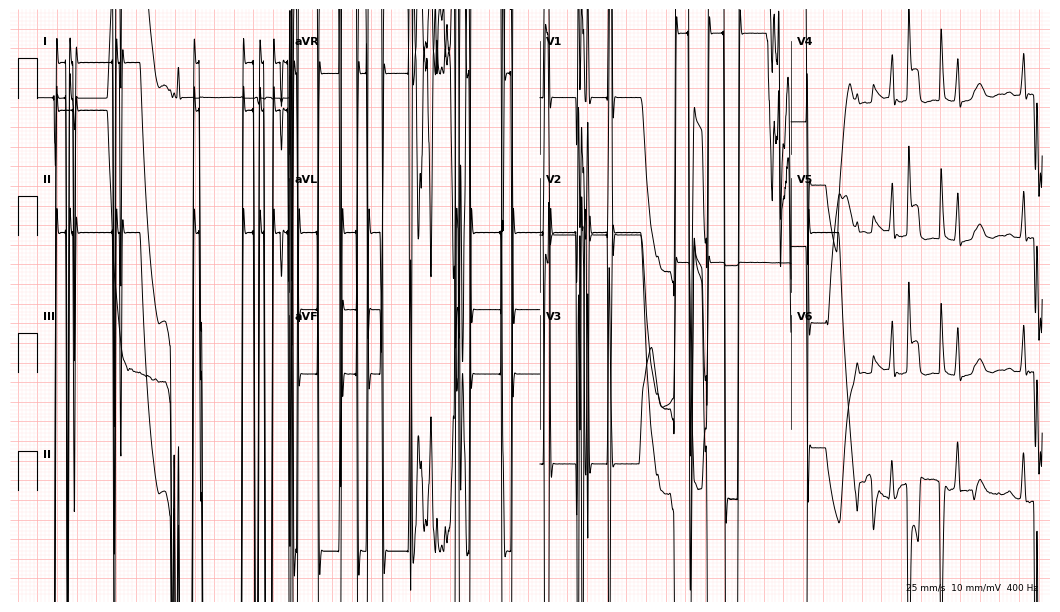
Resting 12-lead electrocardiogram. Patient: a female, 50 years old. None of these six findings is recorded: first-degree AV block, right bundle branch block, left bundle branch block, sinus bradycardia, atrial fibrillation, sinus tachycardia. Only these six findings were labelled.